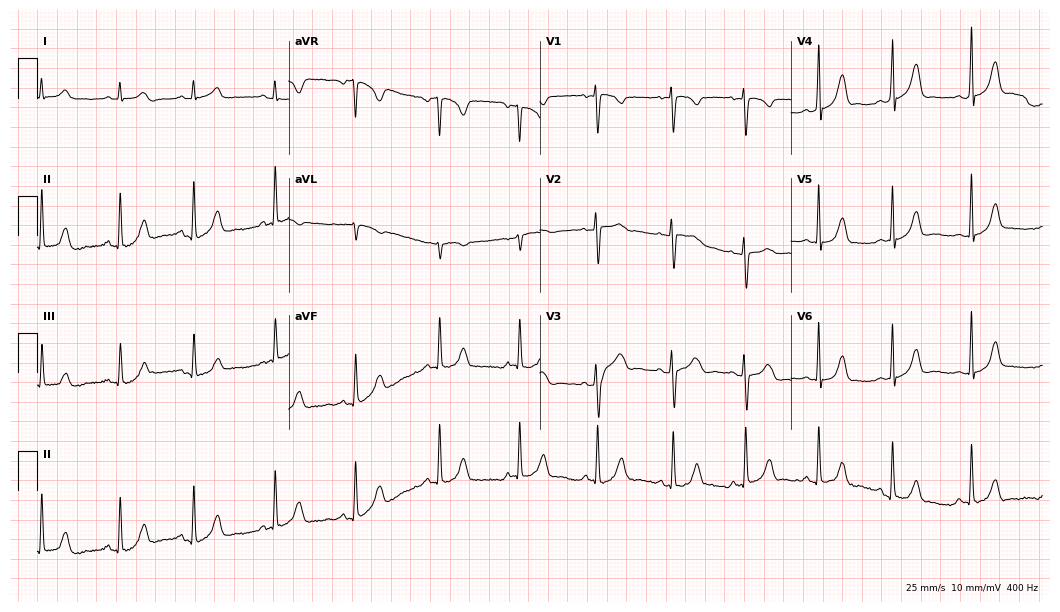
ECG (10.2-second recording at 400 Hz) — a 17-year-old female patient. Labelled as a normal ECG.